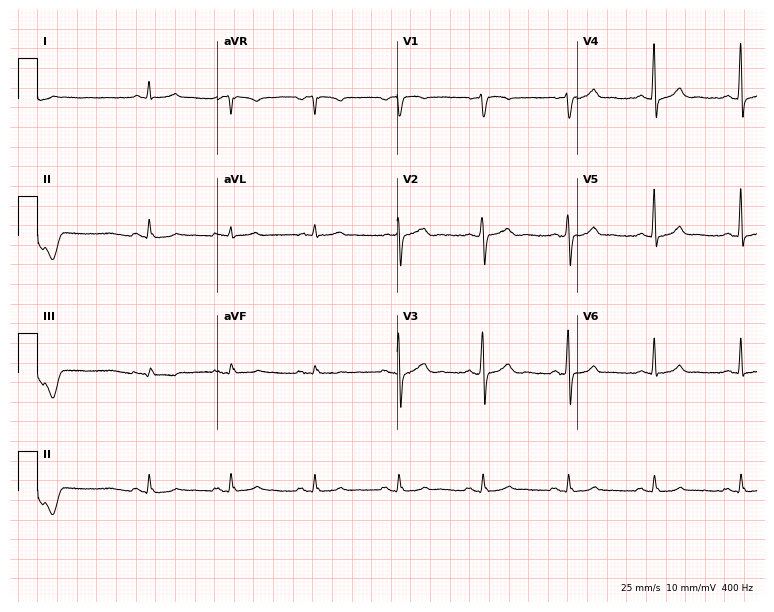
Resting 12-lead electrocardiogram. Patient: a 57-year-old man. None of these six findings is recorded: first-degree AV block, right bundle branch block, left bundle branch block, sinus bradycardia, atrial fibrillation, sinus tachycardia.